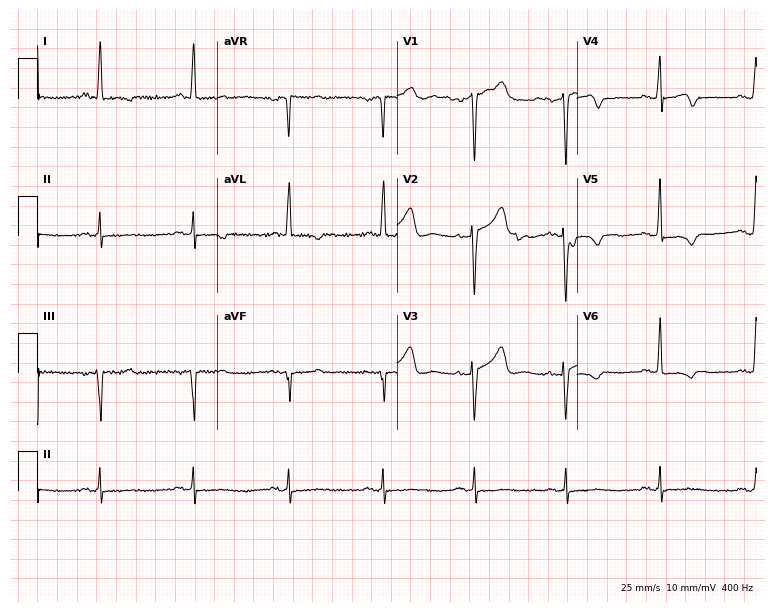
12-lead ECG from a woman, 60 years old. No first-degree AV block, right bundle branch block, left bundle branch block, sinus bradycardia, atrial fibrillation or sinus tachycardia recorded for this tracing.